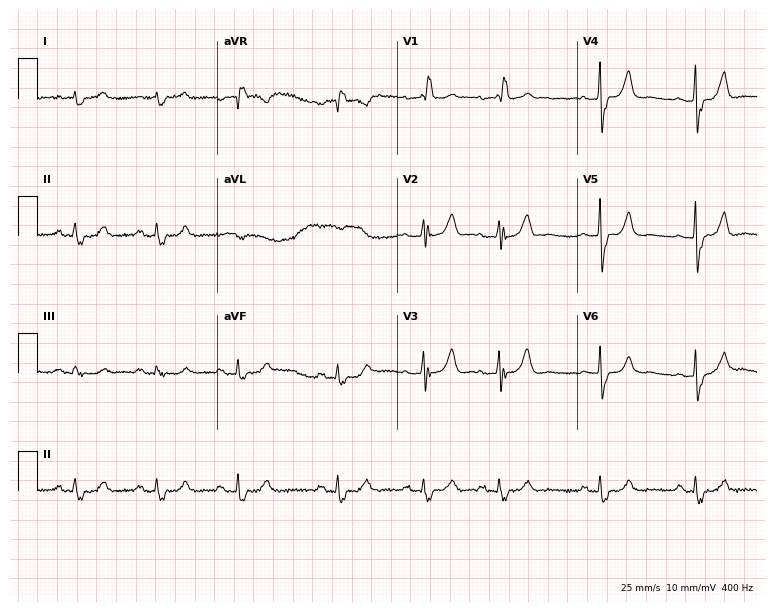
ECG (7.3-second recording at 400 Hz) — a male patient, 75 years old. Findings include right bundle branch block (RBBB).